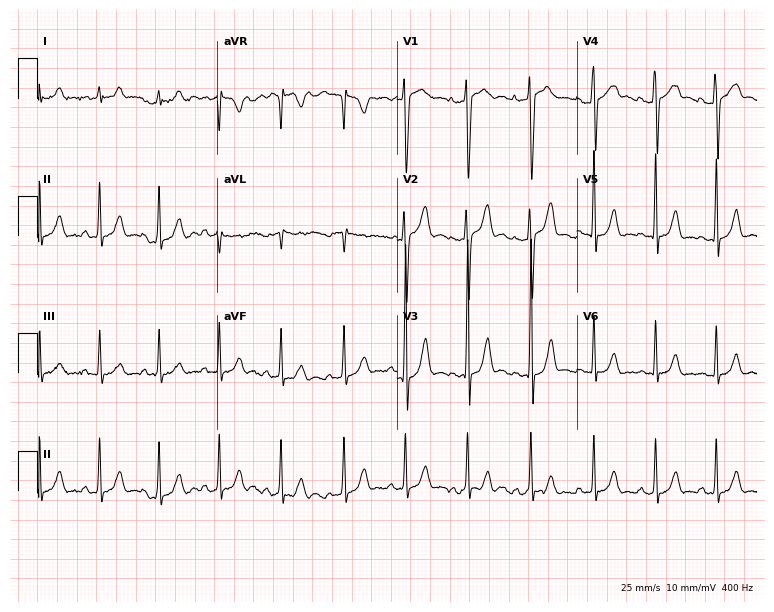
12-lead ECG from a 17-year-old male. Labelled as a normal ECG.